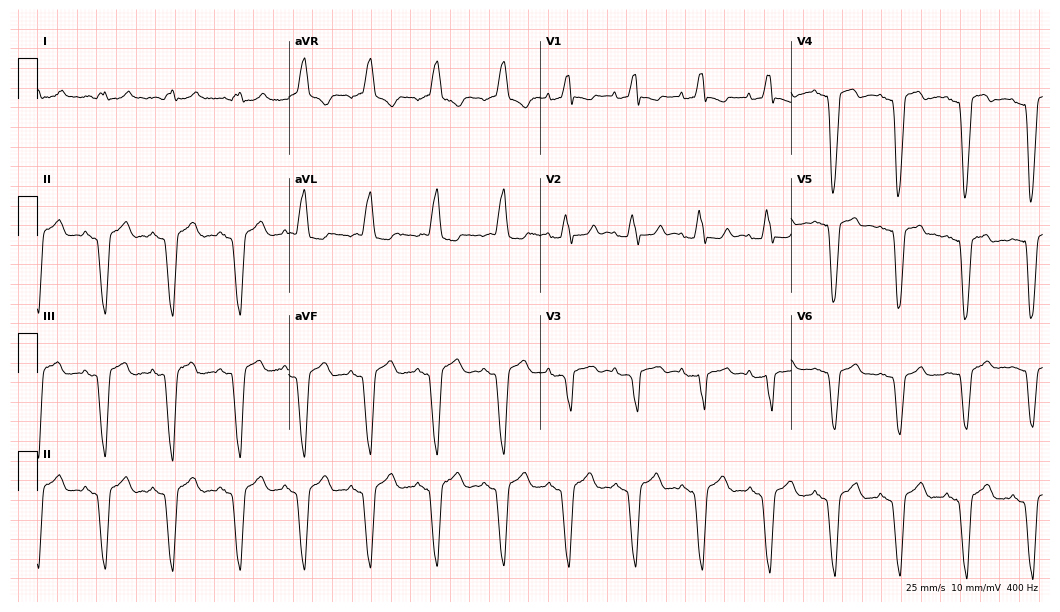
Standard 12-lead ECG recorded from a male, 70 years old (10.2-second recording at 400 Hz). None of these six findings is recorded: first-degree AV block, right bundle branch block, left bundle branch block, sinus bradycardia, atrial fibrillation, sinus tachycardia. Other findings, if any, are not listed.